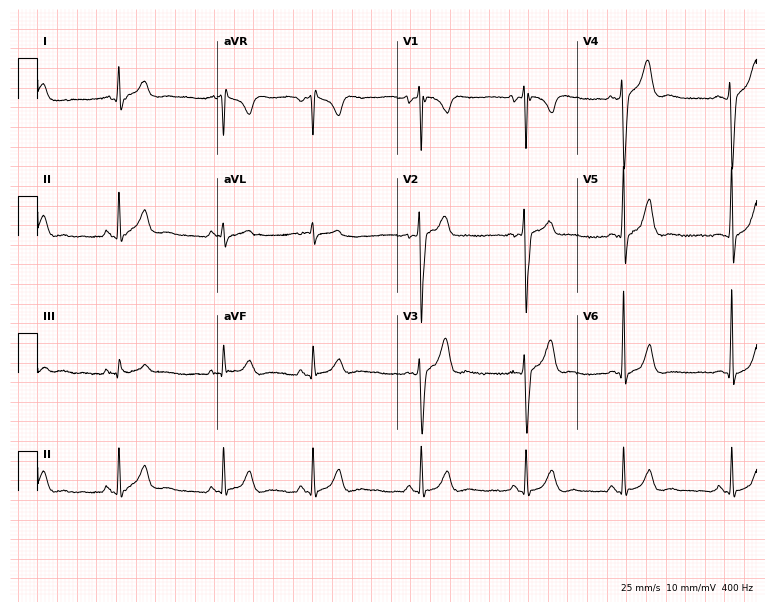
12-lead ECG from a male patient, 24 years old. Labelled as a normal ECG.